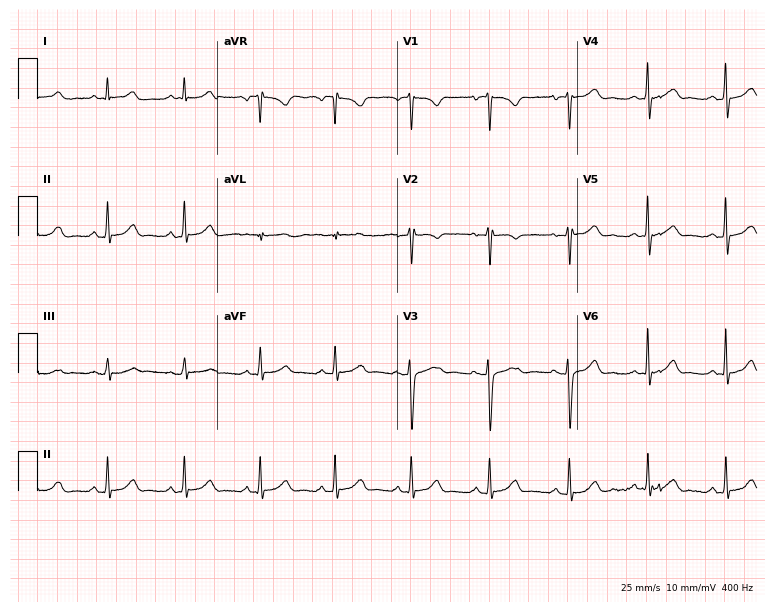
ECG (7.3-second recording at 400 Hz) — a female, 26 years old. Labelled as a normal ECG.